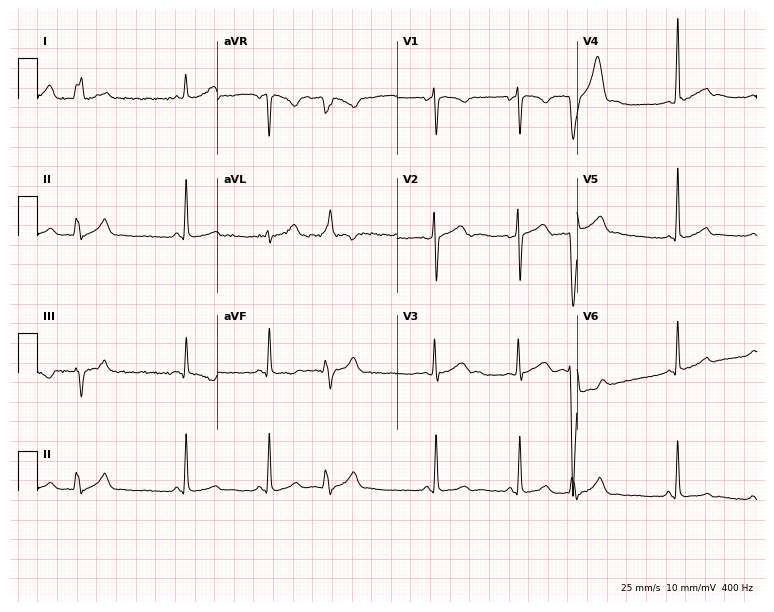
Resting 12-lead electrocardiogram (7.3-second recording at 400 Hz). Patient: a female, 20 years old. None of these six findings is recorded: first-degree AV block, right bundle branch block, left bundle branch block, sinus bradycardia, atrial fibrillation, sinus tachycardia. Other findings, if any, are not listed.